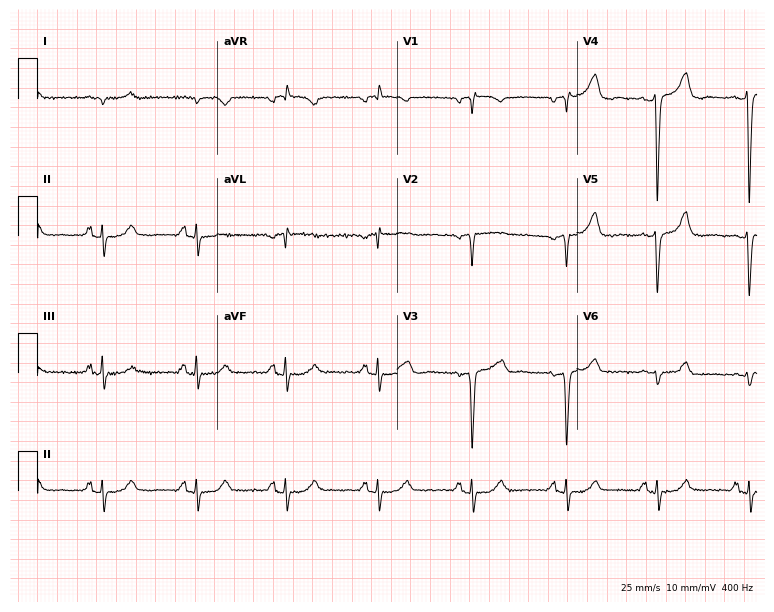
ECG — a female patient, 62 years old. Screened for six findings — first-degree AV block, right bundle branch block, left bundle branch block, sinus bradycardia, atrial fibrillation, sinus tachycardia — none is recorded. Only these six findings were labelled.